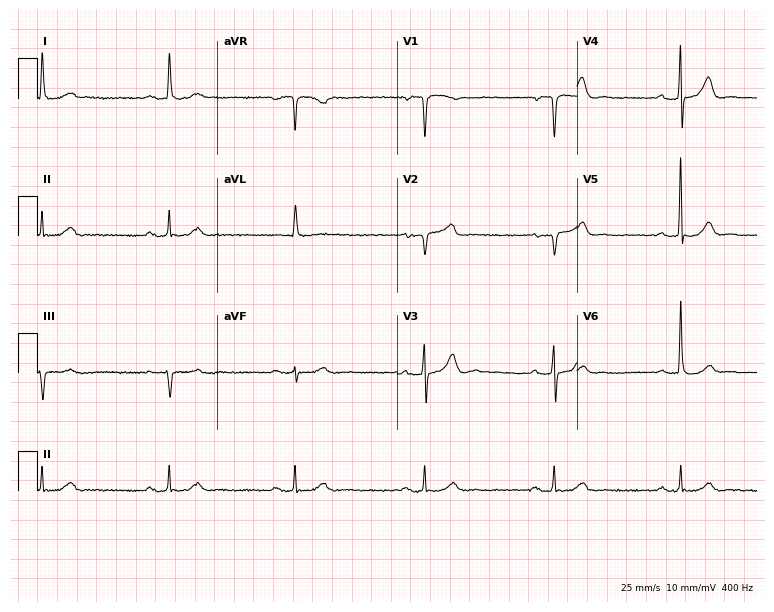
12-lead ECG from a 69-year-old female. Recorded interpretation: within normal limits.